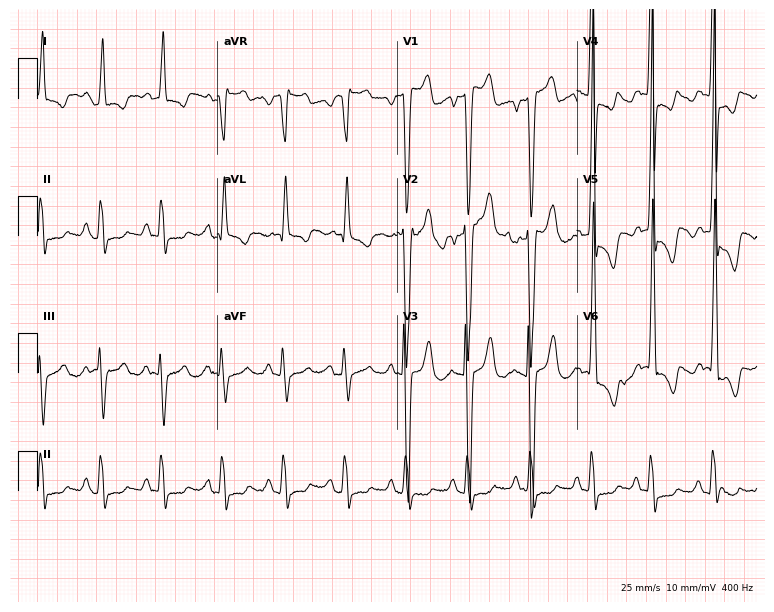
Resting 12-lead electrocardiogram (7.3-second recording at 400 Hz). Patient: a man, 84 years old. None of these six findings is recorded: first-degree AV block, right bundle branch block, left bundle branch block, sinus bradycardia, atrial fibrillation, sinus tachycardia. Other findings, if any, are not listed.